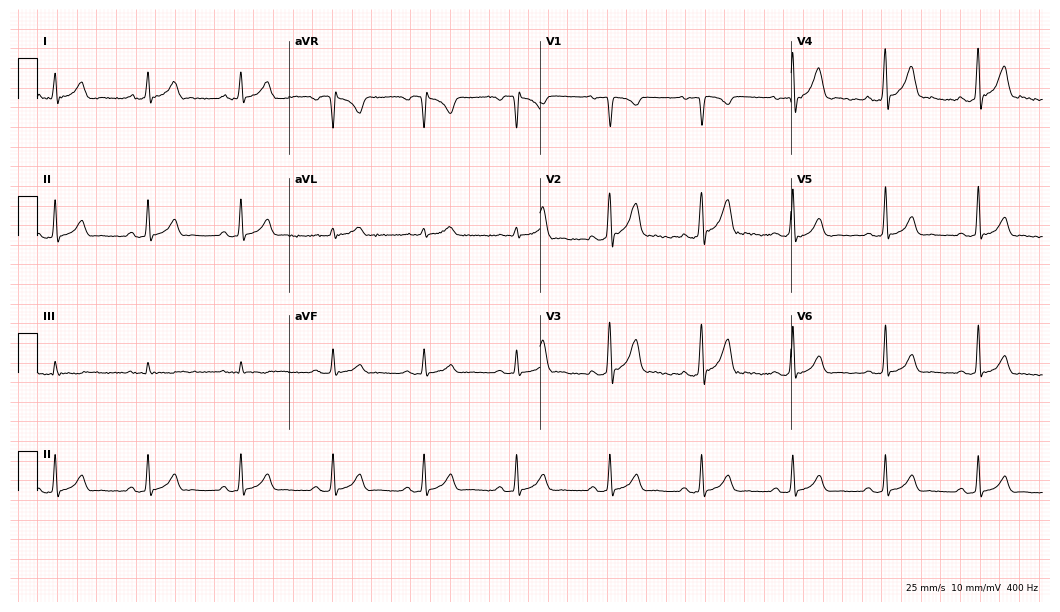
ECG (10.2-second recording at 400 Hz) — a 31-year-old male. Labelled as a normal ECG.